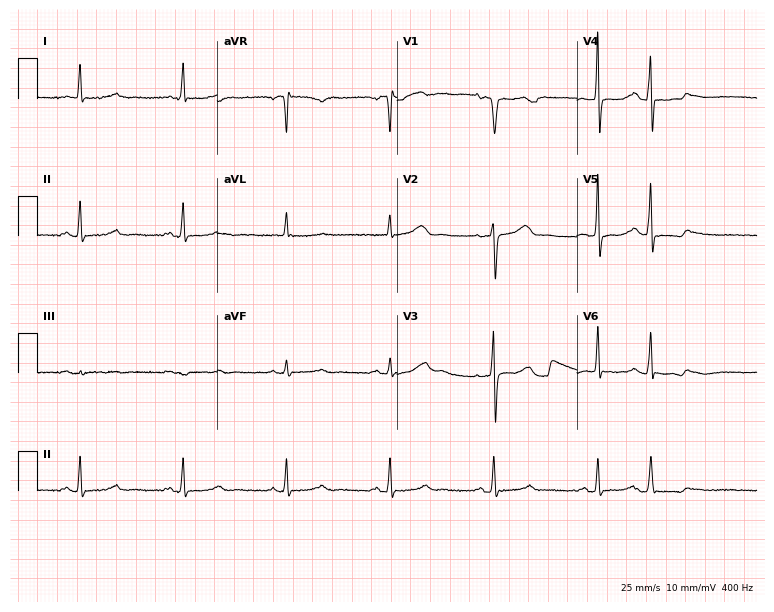
12-lead ECG from a woman, 70 years old. Recorded interpretation: within normal limits.